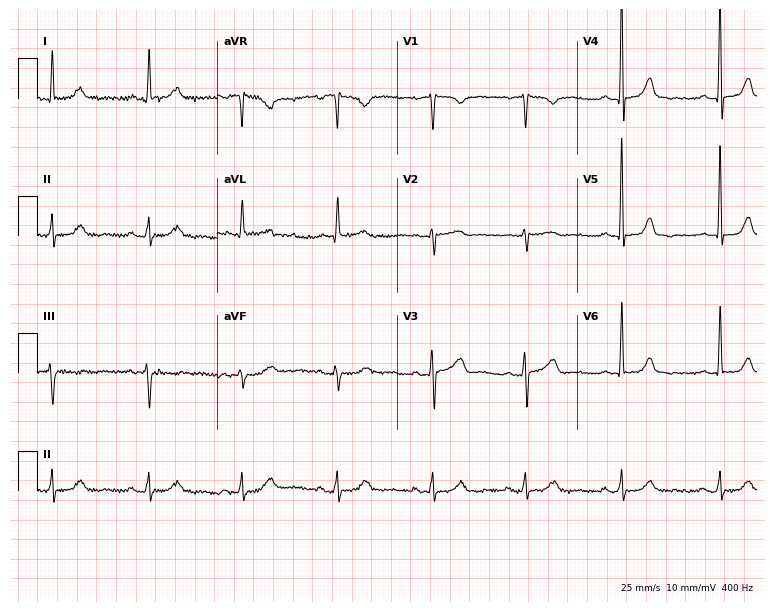
12-lead ECG from a female patient, 72 years old. Screened for six findings — first-degree AV block, right bundle branch block (RBBB), left bundle branch block (LBBB), sinus bradycardia, atrial fibrillation (AF), sinus tachycardia — none is recorded. Other findings, if any, are not listed.